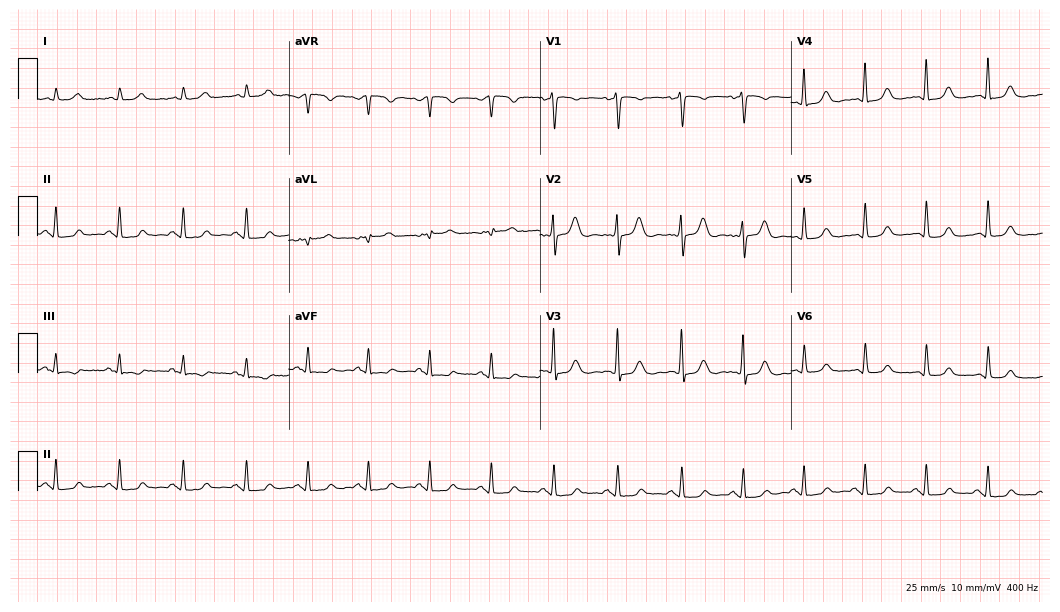
Standard 12-lead ECG recorded from a female, 42 years old. None of these six findings is recorded: first-degree AV block, right bundle branch block (RBBB), left bundle branch block (LBBB), sinus bradycardia, atrial fibrillation (AF), sinus tachycardia.